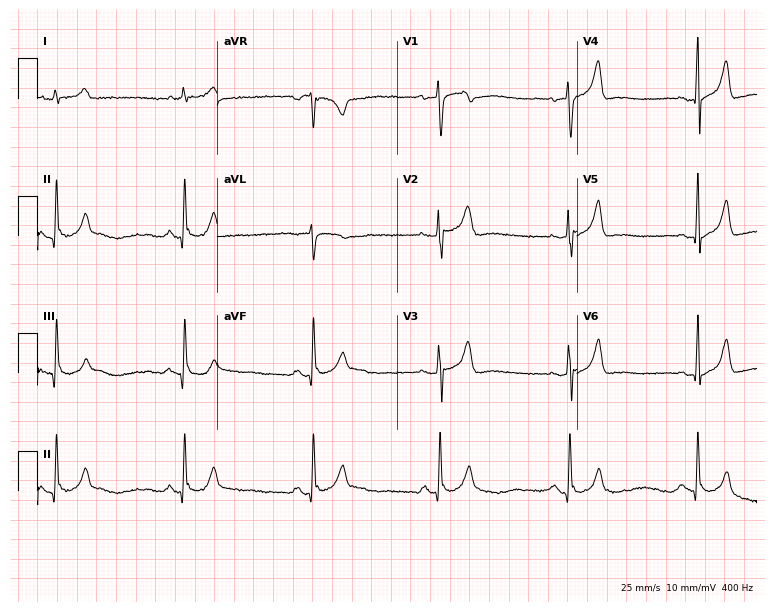
ECG — a 32-year-old man. Findings include sinus bradycardia (a sinus rate of 50 beats per minute or less).